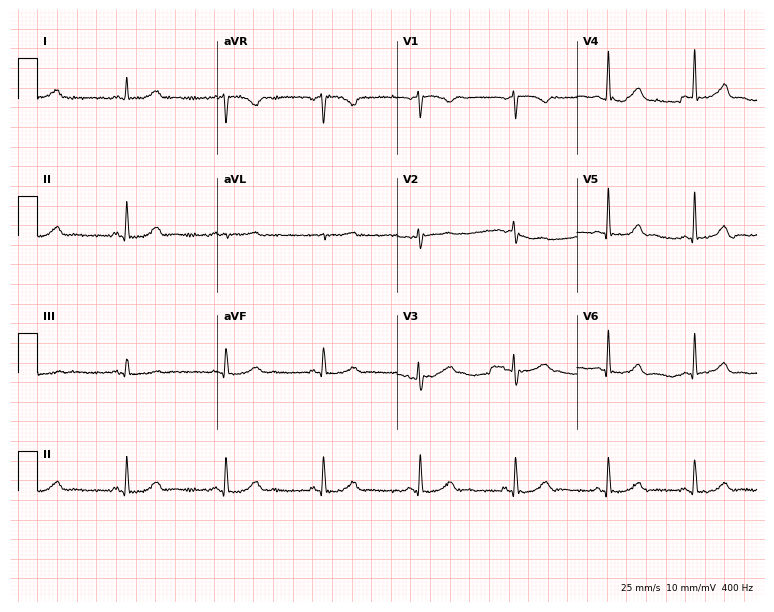
ECG — a female patient, 38 years old. Screened for six findings — first-degree AV block, right bundle branch block (RBBB), left bundle branch block (LBBB), sinus bradycardia, atrial fibrillation (AF), sinus tachycardia — none is recorded. Other findings, if any, are not listed.